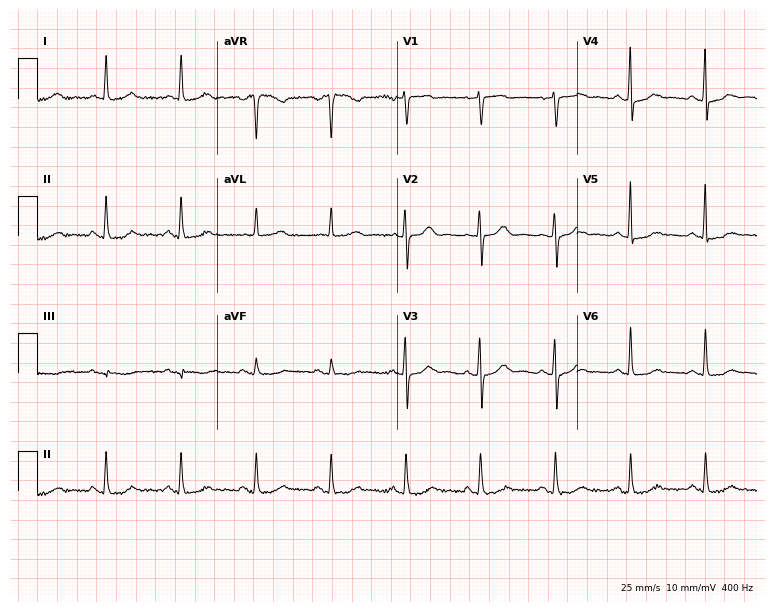
12-lead ECG from a 64-year-old woman. Screened for six findings — first-degree AV block, right bundle branch block (RBBB), left bundle branch block (LBBB), sinus bradycardia, atrial fibrillation (AF), sinus tachycardia — none is recorded.